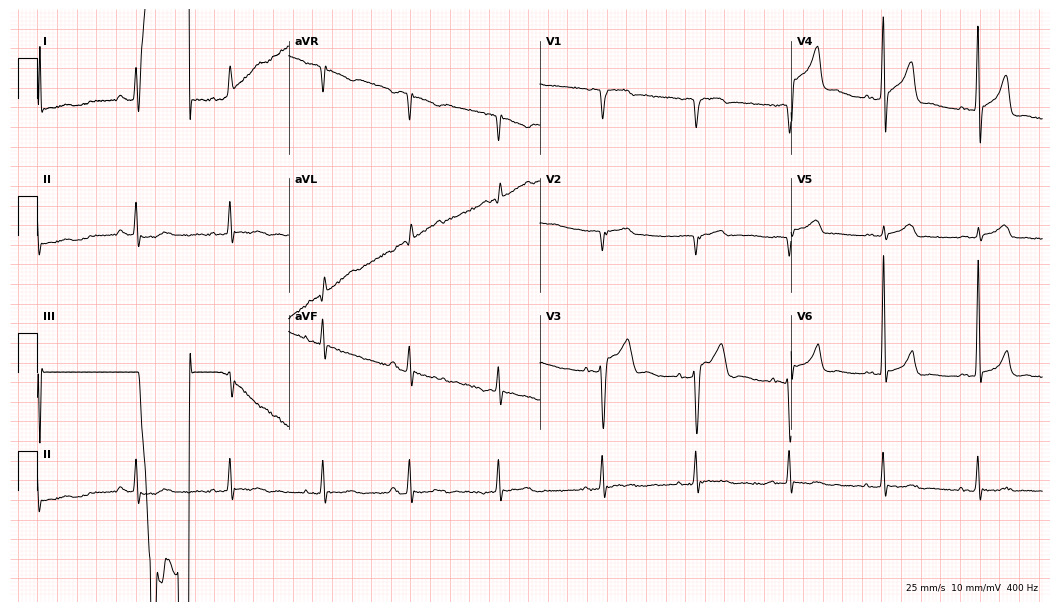
Resting 12-lead electrocardiogram. Patient: a man, 83 years old. None of these six findings is recorded: first-degree AV block, right bundle branch block, left bundle branch block, sinus bradycardia, atrial fibrillation, sinus tachycardia.